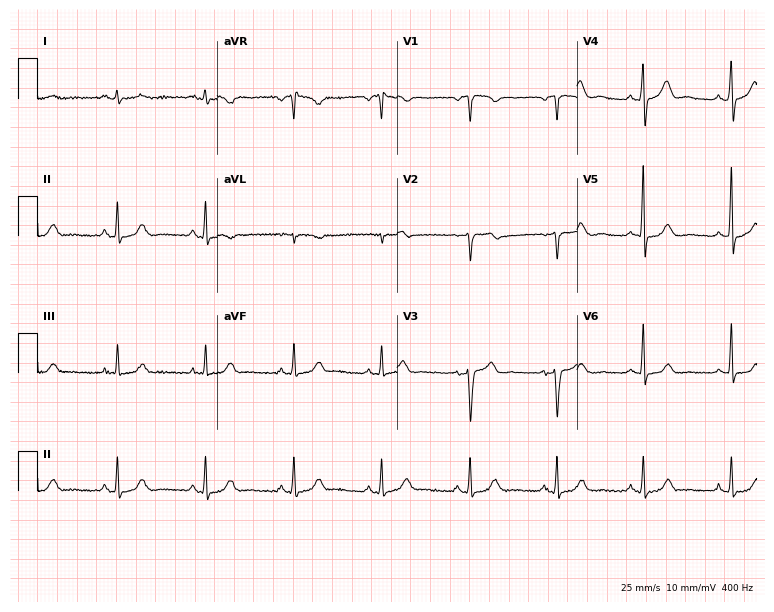
12-lead ECG from a 54-year-old female patient (7.3-second recording at 400 Hz). Recorded interpretation: within normal limits.